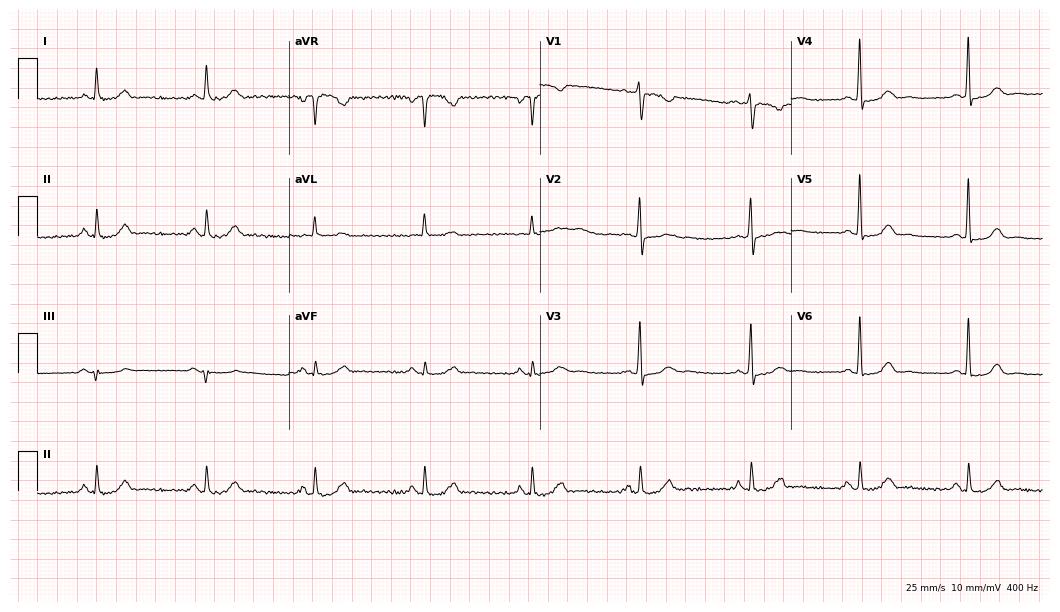
ECG (10.2-second recording at 400 Hz) — a 60-year-old female patient. Labelled as a normal ECG.